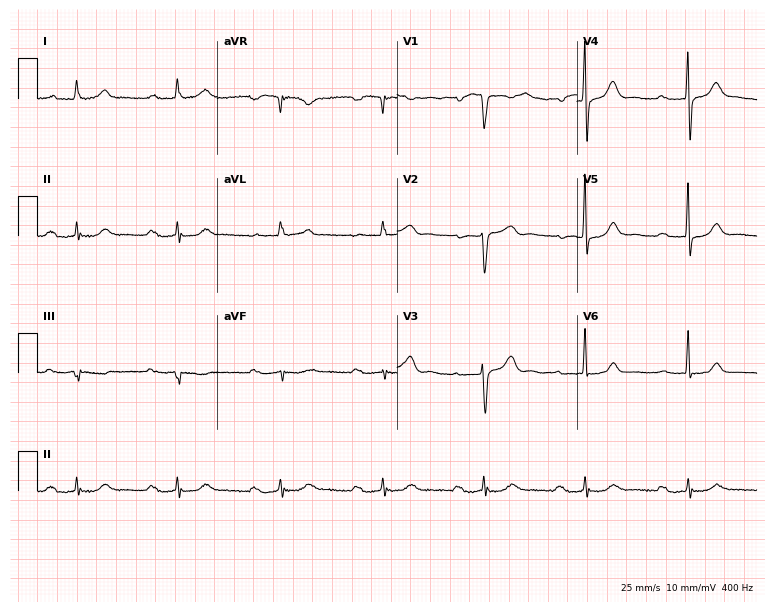
ECG — a man, 83 years old. Findings include first-degree AV block.